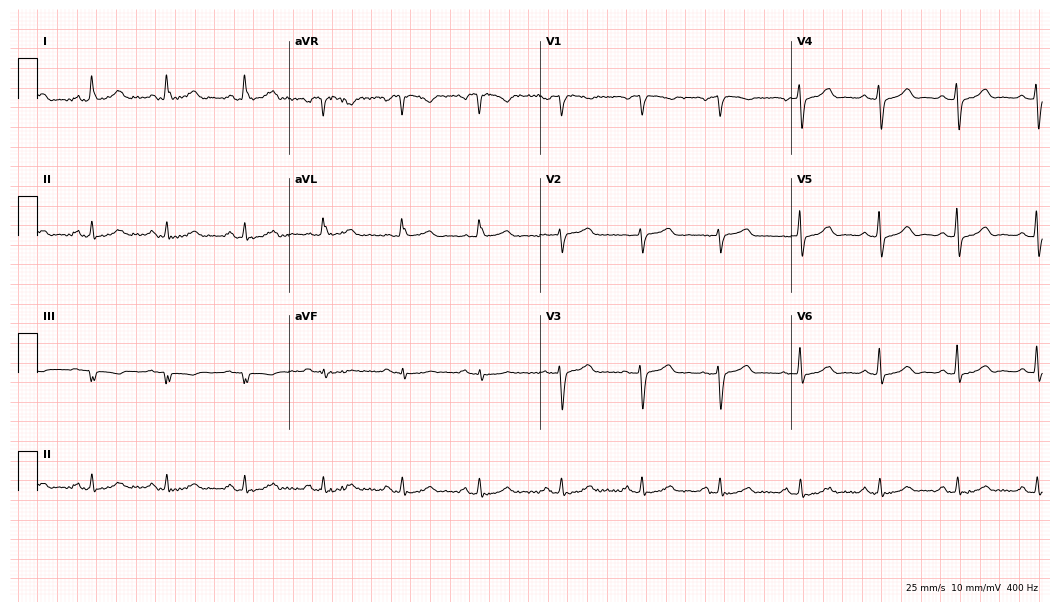
12-lead ECG from a 68-year-old female patient. Recorded interpretation: within normal limits.